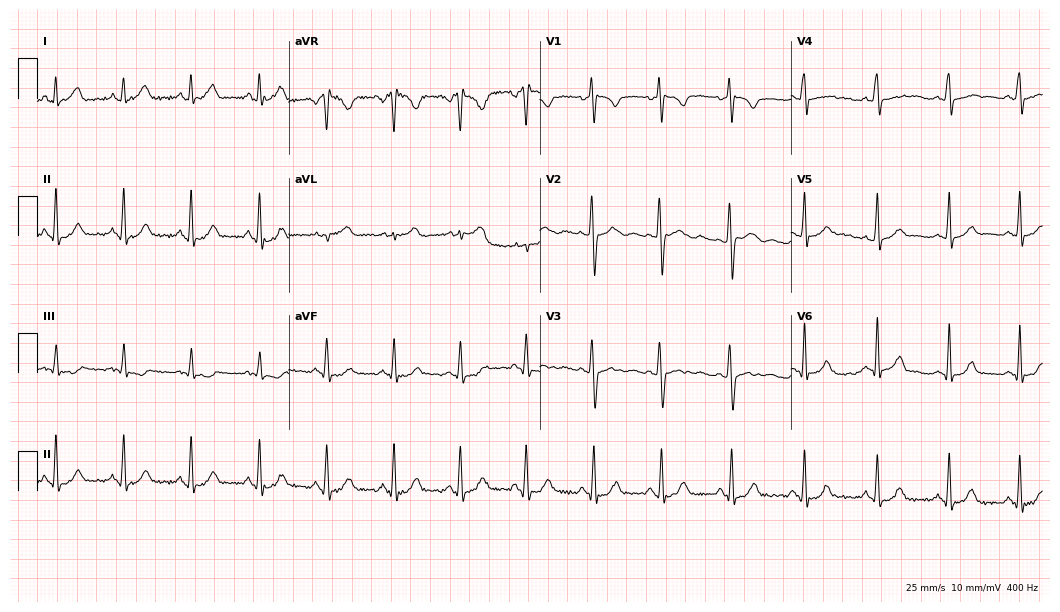
Resting 12-lead electrocardiogram. Patient: a 28-year-old female. Read as a normal ECG.